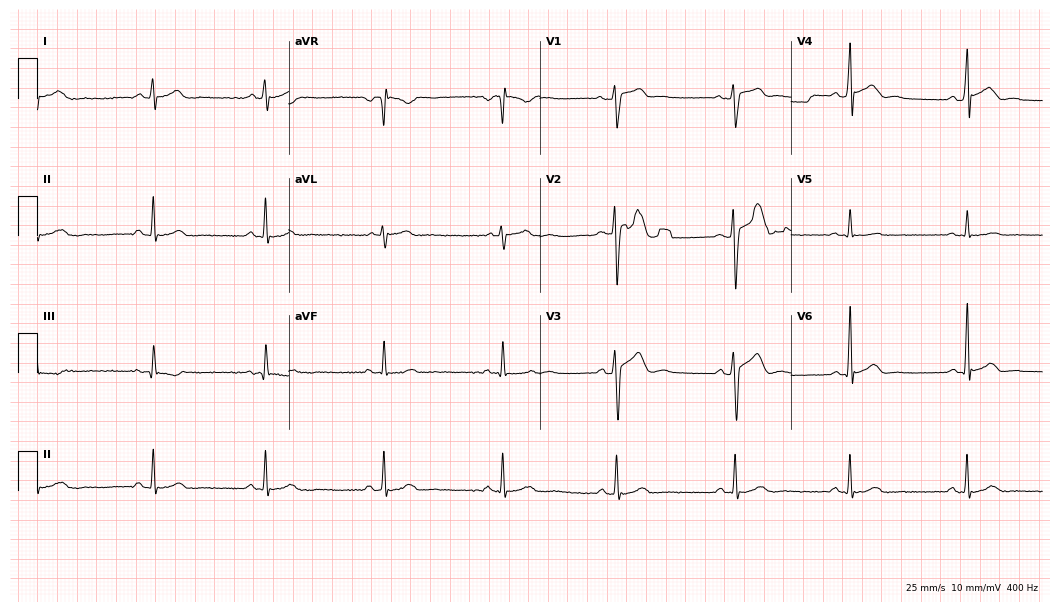
Resting 12-lead electrocardiogram. Patient: a 30-year-old male. Read as a normal ECG.